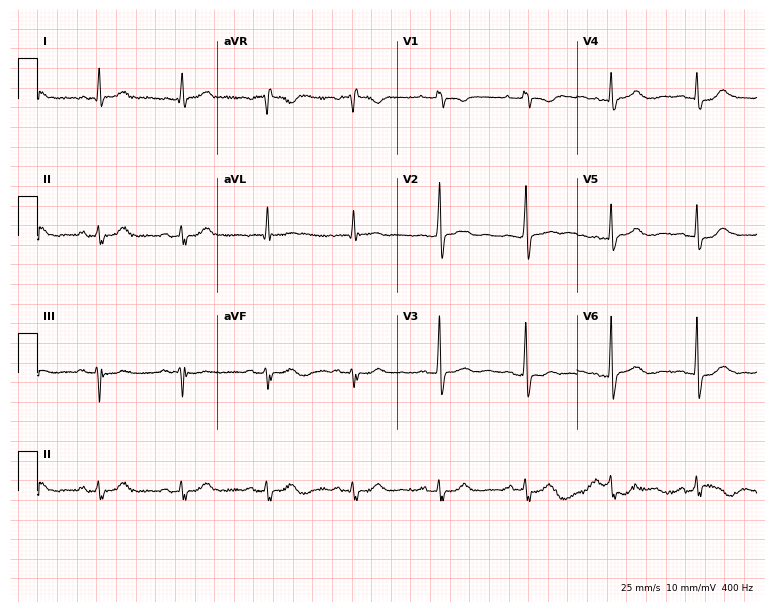
Standard 12-lead ECG recorded from a 55-year-old female. None of these six findings is recorded: first-degree AV block, right bundle branch block, left bundle branch block, sinus bradycardia, atrial fibrillation, sinus tachycardia. Findings outside these six are not listed.